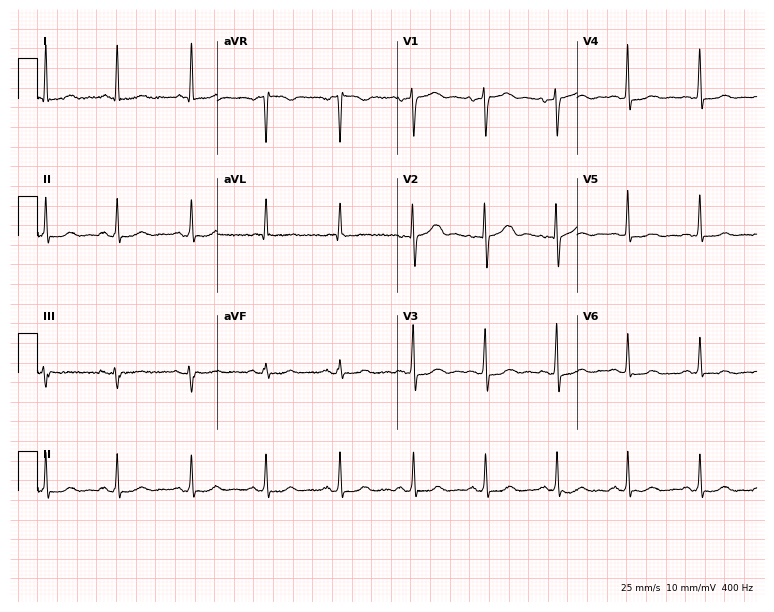
Electrocardiogram, a 67-year-old male patient. Of the six screened findings (first-degree AV block, right bundle branch block (RBBB), left bundle branch block (LBBB), sinus bradycardia, atrial fibrillation (AF), sinus tachycardia), none is recorded.